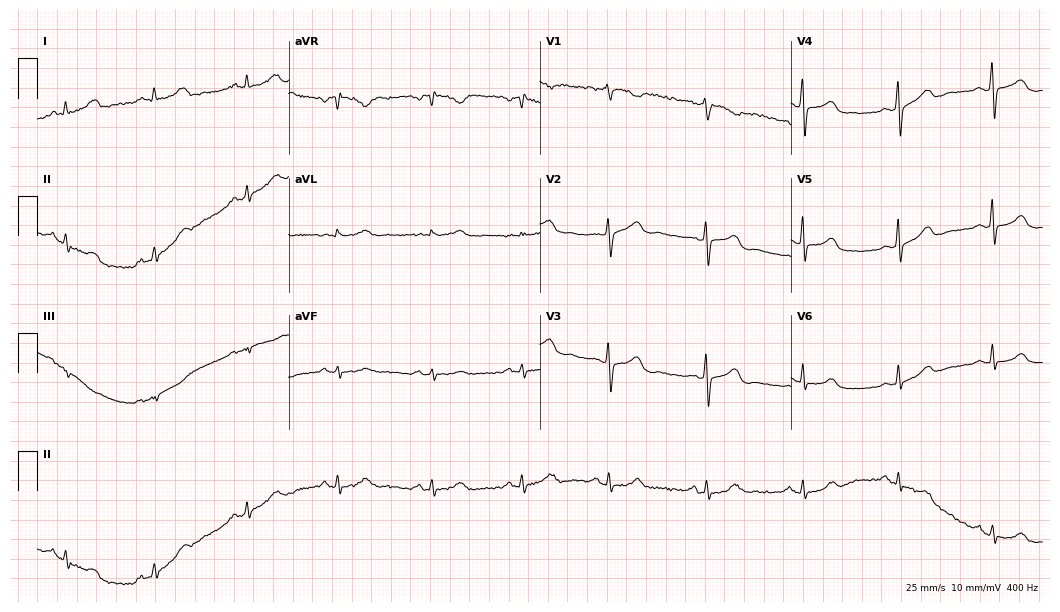
Resting 12-lead electrocardiogram. Patient: a 49-year-old female. None of these six findings is recorded: first-degree AV block, right bundle branch block, left bundle branch block, sinus bradycardia, atrial fibrillation, sinus tachycardia. Findings outside these six are not listed.